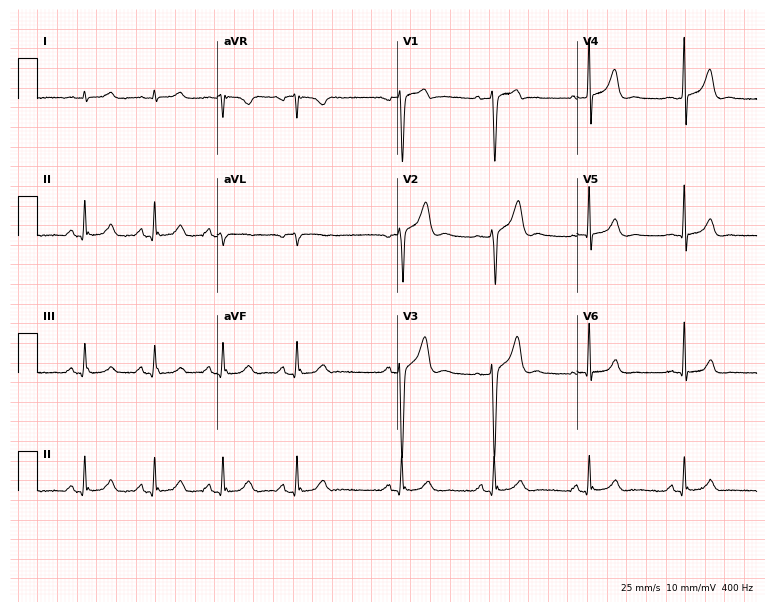
12-lead ECG (7.3-second recording at 400 Hz) from a 35-year-old male. Labelled as a normal ECG.